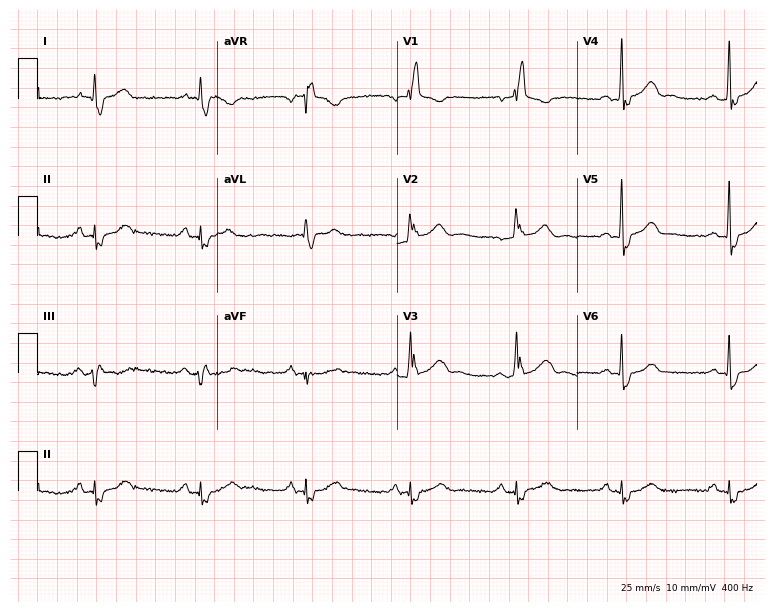
ECG — a male patient, 63 years old. Findings include right bundle branch block (RBBB).